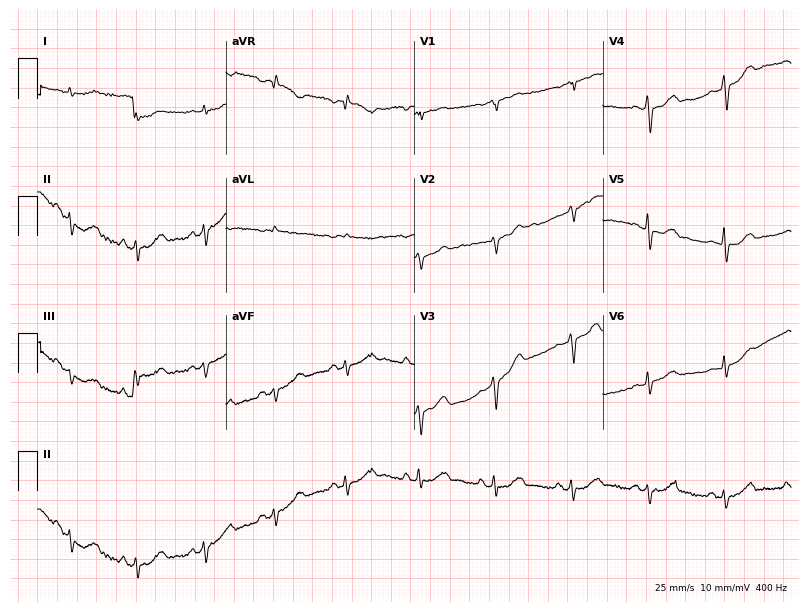
Electrocardiogram, a 72-year-old male. Of the six screened findings (first-degree AV block, right bundle branch block, left bundle branch block, sinus bradycardia, atrial fibrillation, sinus tachycardia), none is recorded.